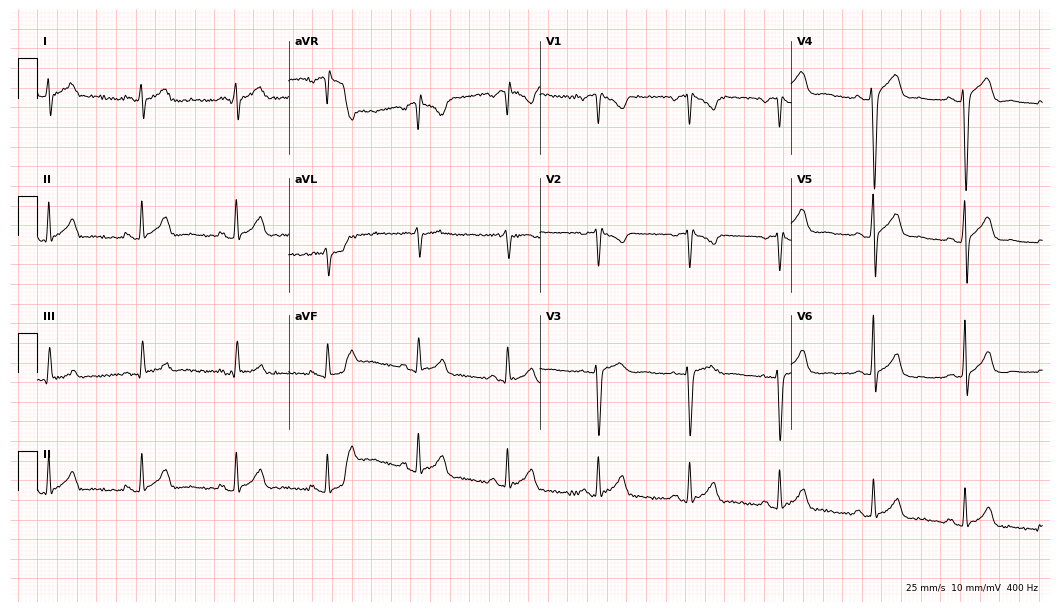
12-lead ECG from a 37-year-old male (10.2-second recording at 400 Hz). Recorded interpretation: within normal limits.